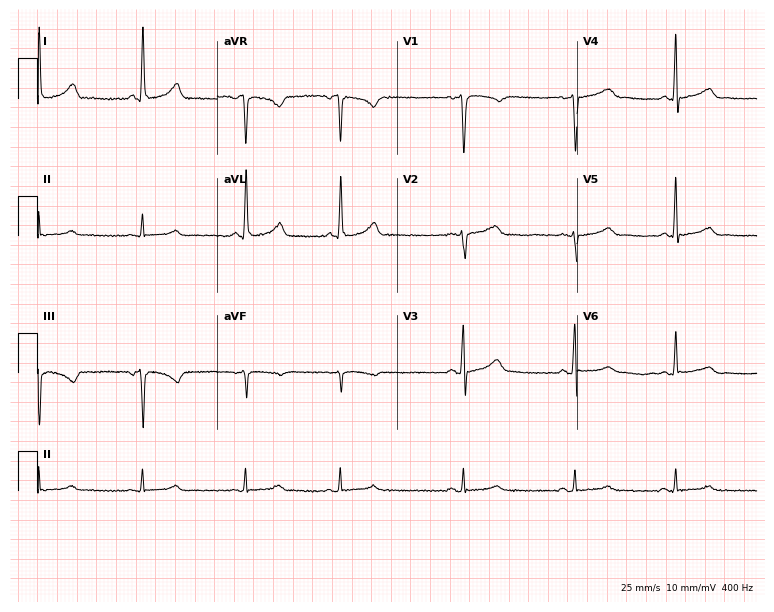
Standard 12-lead ECG recorded from a female, 51 years old (7.3-second recording at 400 Hz). None of these six findings is recorded: first-degree AV block, right bundle branch block (RBBB), left bundle branch block (LBBB), sinus bradycardia, atrial fibrillation (AF), sinus tachycardia.